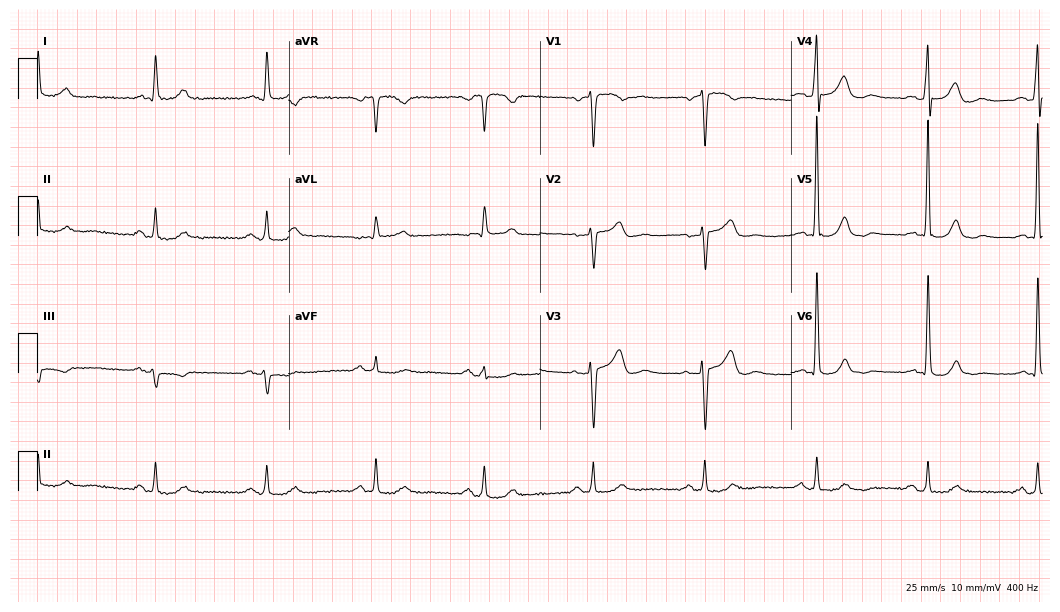
Resting 12-lead electrocardiogram (10.2-second recording at 400 Hz). Patient: a 79-year-old man. None of these six findings is recorded: first-degree AV block, right bundle branch block, left bundle branch block, sinus bradycardia, atrial fibrillation, sinus tachycardia. Findings outside these six are not listed.